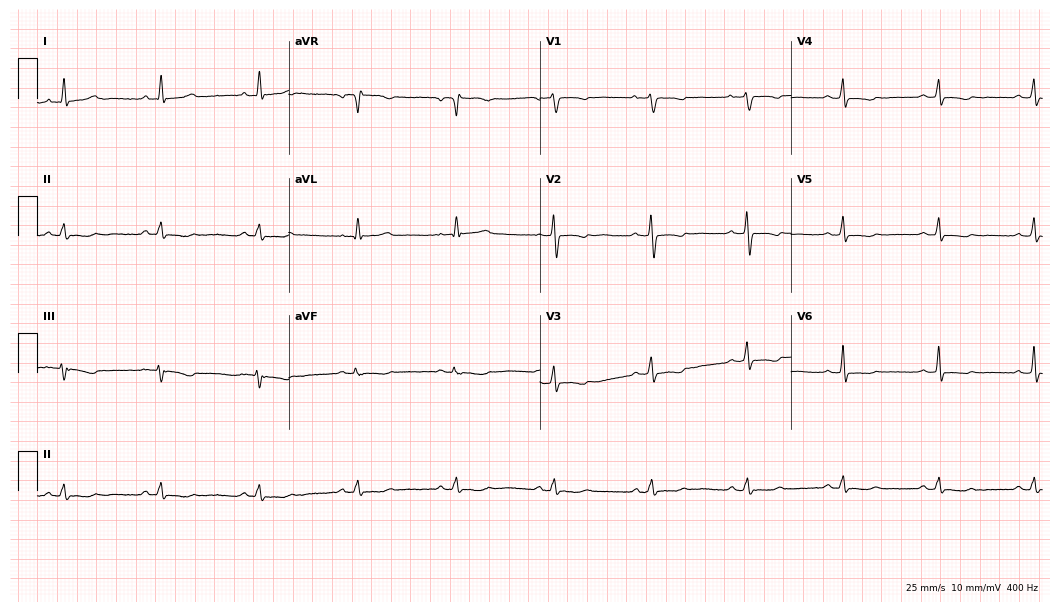
Standard 12-lead ECG recorded from a woman, 62 years old (10.2-second recording at 400 Hz). None of these six findings is recorded: first-degree AV block, right bundle branch block, left bundle branch block, sinus bradycardia, atrial fibrillation, sinus tachycardia. Other findings, if any, are not listed.